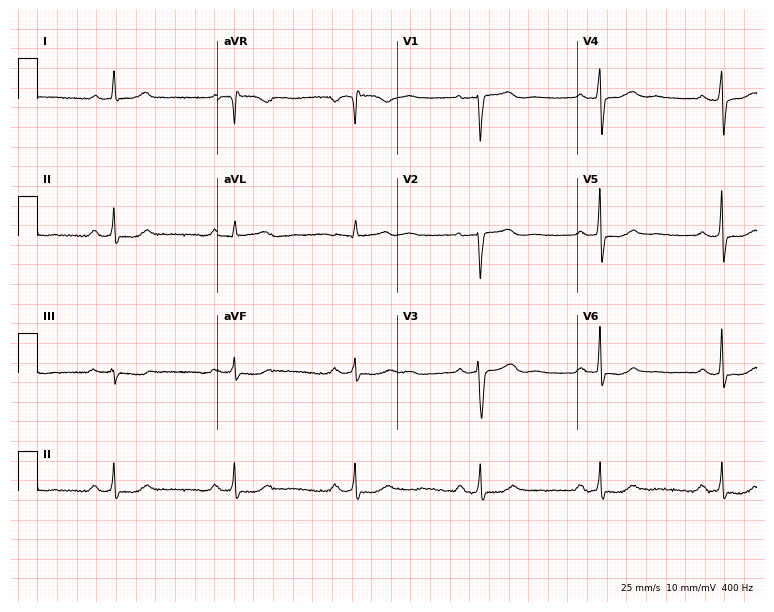
Electrocardiogram, a 57-year-old female patient. Overall reading on record: normal ECG.